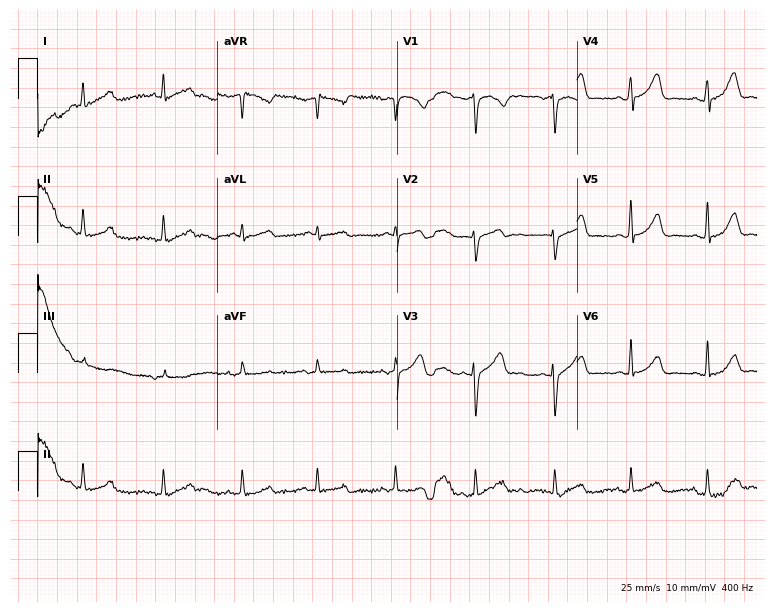
Resting 12-lead electrocardiogram (7.3-second recording at 400 Hz). Patient: a 35-year-old female. None of these six findings is recorded: first-degree AV block, right bundle branch block, left bundle branch block, sinus bradycardia, atrial fibrillation, sinus tachycardia. Findings outside these six are not listed.